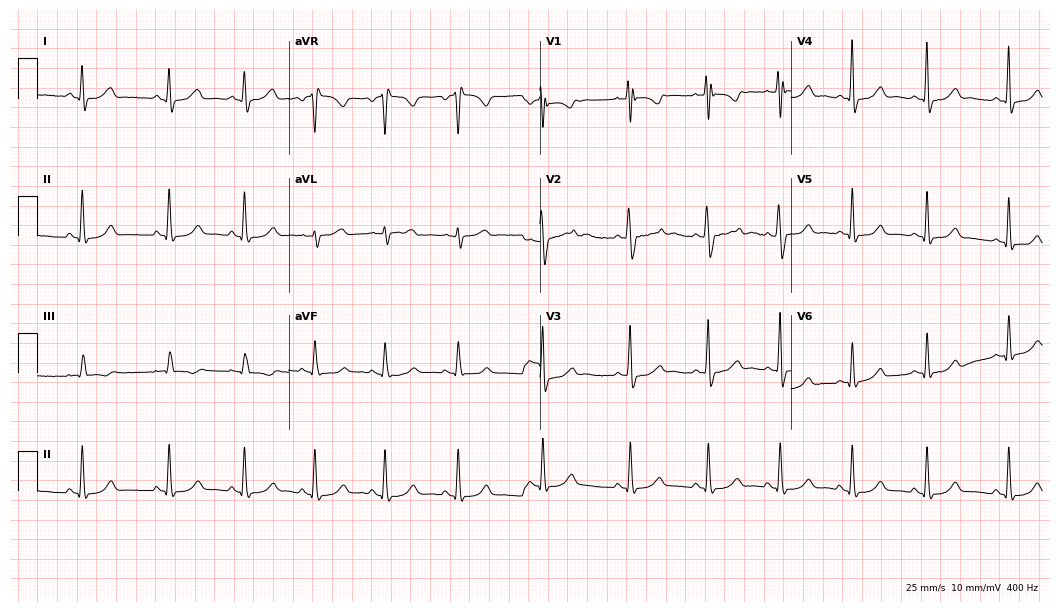
ECG (10.2-second recording at 400 Hz) — a woman, 21 years old. Screened for six findings — first-degree AV block, right bundle branch block, left bundle branch block, sinus bradycardia, atrial fibrillation, sinus tachycardia — none is recorded. Findings outside these six are not listed.